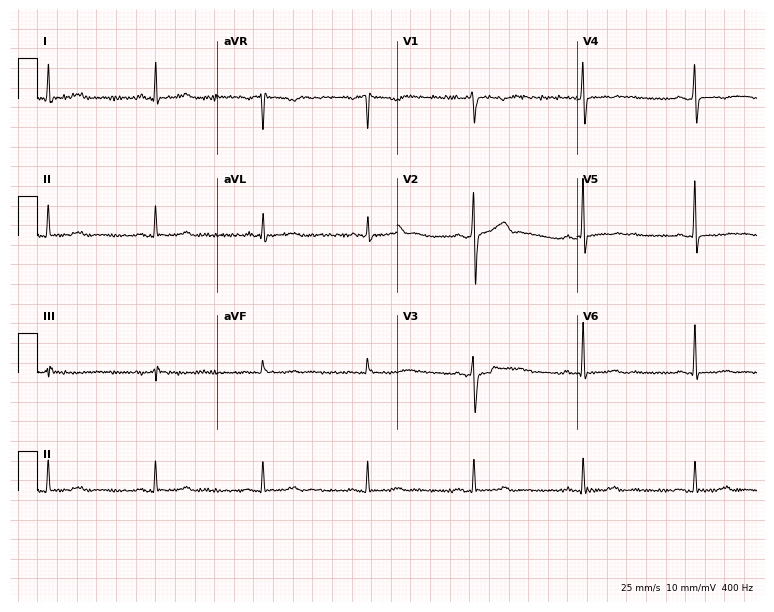
12-lead ECG from a 38-year-old male. Screened for six findings — first-degree AV block, right bundle branch block, left bundle branch block, sinus bradycardia, atrial fibrillation, sinus tachycardia — none is recorded. Other findings, if any, are not listed.